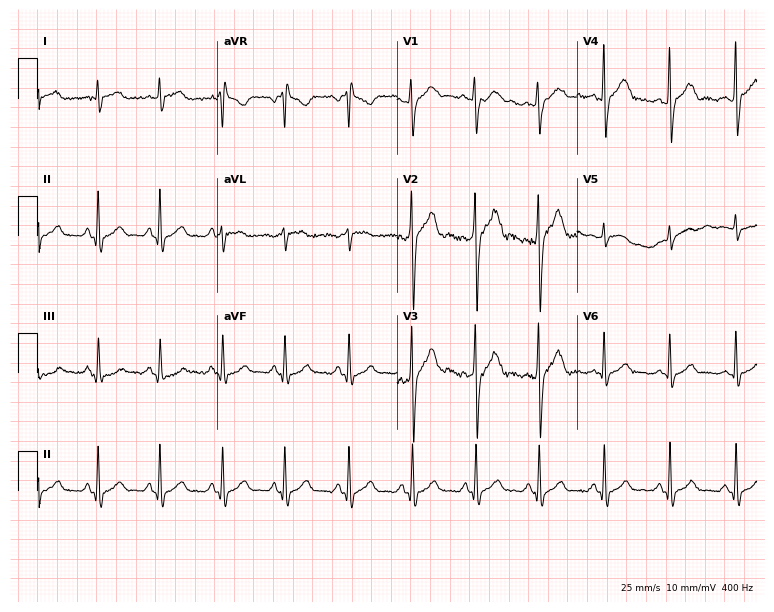
Standard 12-lead ECG recorded from a man, 28 years old. Read as a normal ECG.